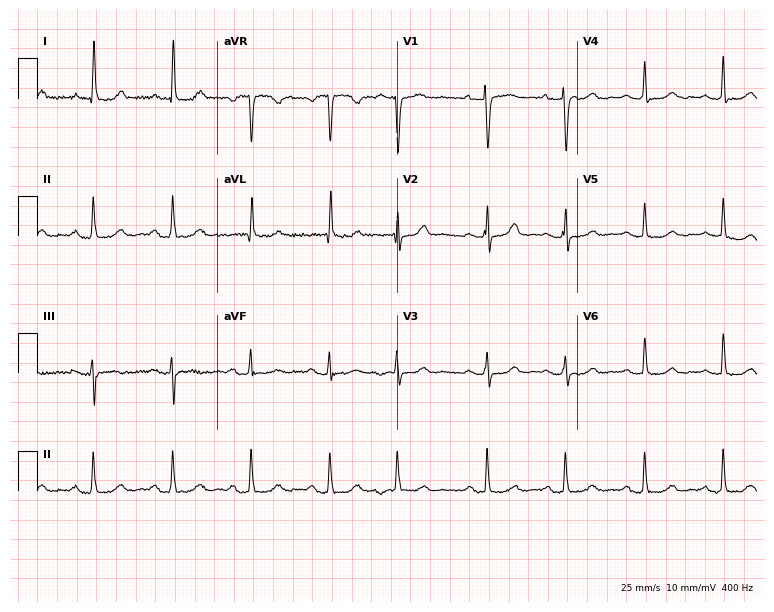
ECG (7.3-second recording at 400 Hz) — a 71-year-old female patient. Findings include first-degree AV block.